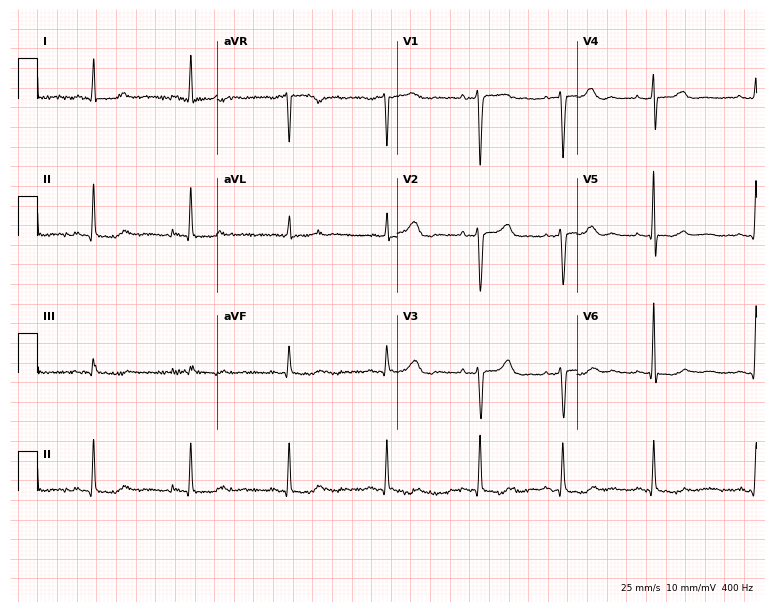
Electrocardiogram (7.3-second recording at 400 Hz), a 50-year-old female patient. Of the six screened findings (first-degree AV block, right bundle branch block (RBBB), left bundle branch block (LBBB), sinus bradycardia, atrial fibrillation (AF), sinus tachycardia), none is recorded. Other findings, if any, are not listed.